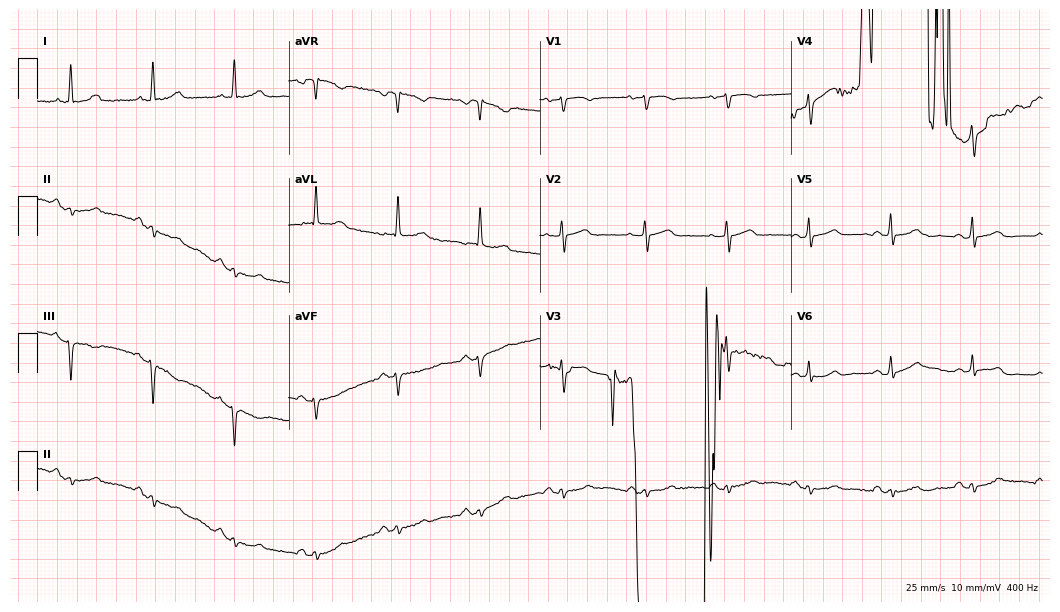
Resting 12-lead electrocardiogram. Patient: a woman, 73 years old. None of these six findings is recorded: first-degree AV block, right bundle branch block, left bundle branch block, sinus bradycardia, atrial fibrillation, sinus tachycardia.